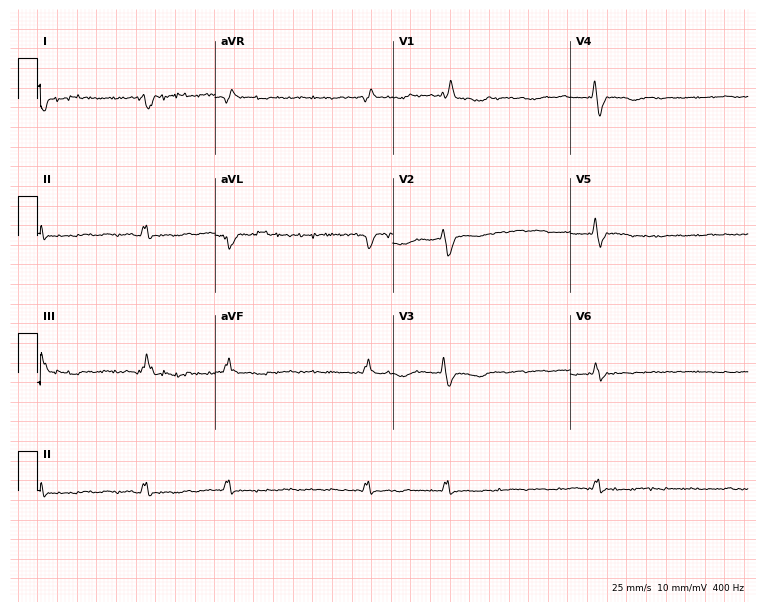
12-lead ECG (7.2-second recording at 400 Hz) from a 67-year-old woman. Screened for six findings — first-degree AV block, right bundle branch block (RBBB), left bundle branch block (LBBB), sinus bradycardia, atrial fibrillation (AF), sinus tachycardia — none is recorded.